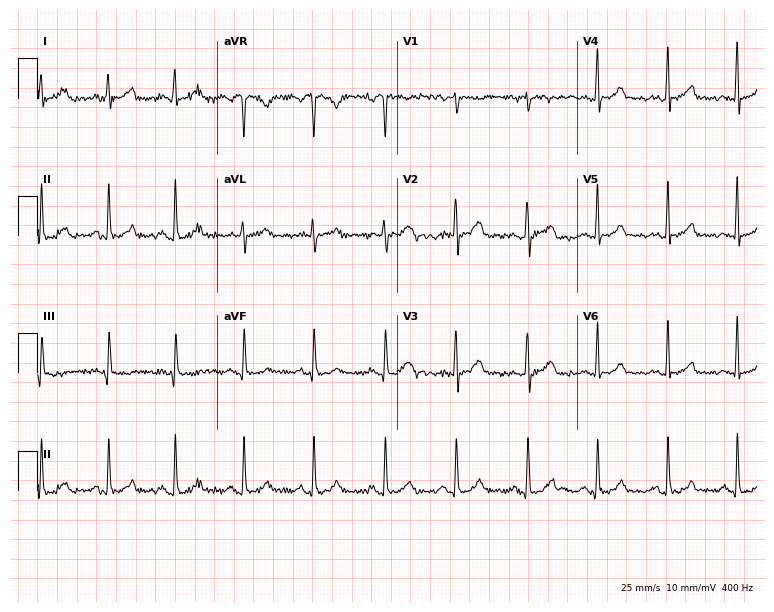
12-lead ECG from a woman, 24 years old (7.3-second recording at 400 Hz). Recorded interpretation: within normal limits.